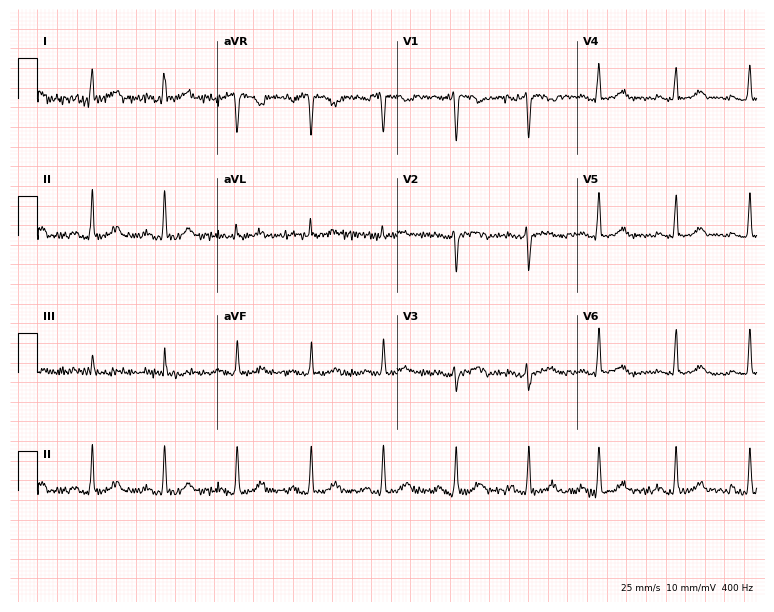
Resting 12-lead electrocardiogram. Patient: a female, 31 years old. None of these six findings is recorded: first-degree AV block, right bundle branch block, left bundle branch block, sinus bradycardia, atrial fibrillation, sinus tachycardia. Only these six findings were labelled.